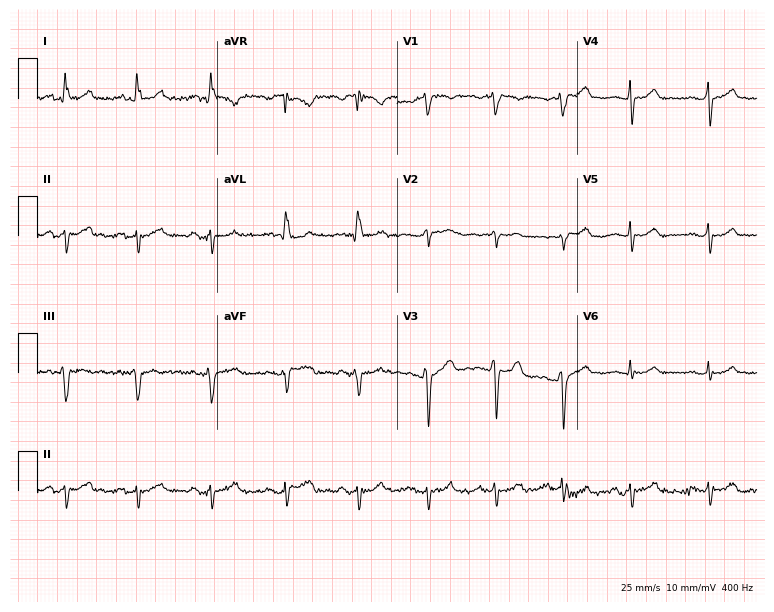
12-lead ECG from a 45-year-old female patient. Screened for six findings — first-degree AV block, right bundle branch block, left bundle branch block, sinus bradycardia, atrial fibrillation, sinus tachycardia — none is recorded.